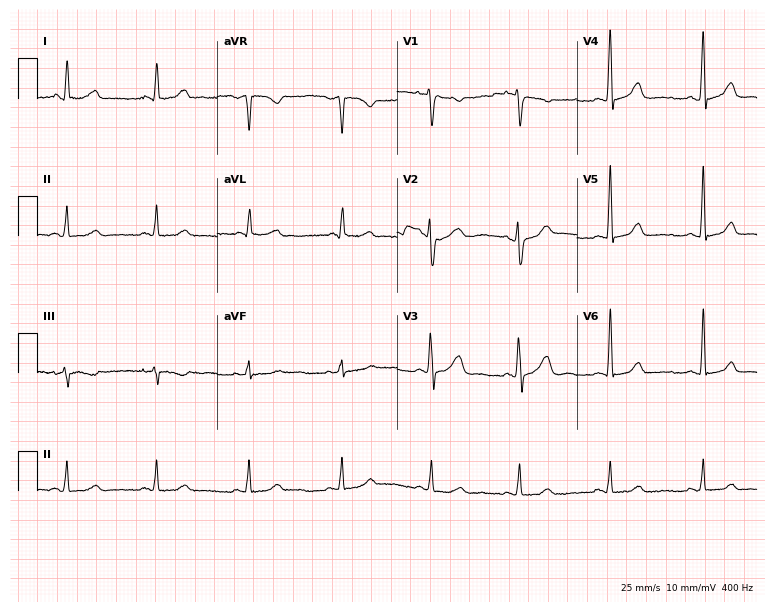
Electrocardiogram, a female patient, 48 years old. Overall reading on record: normal ECG.